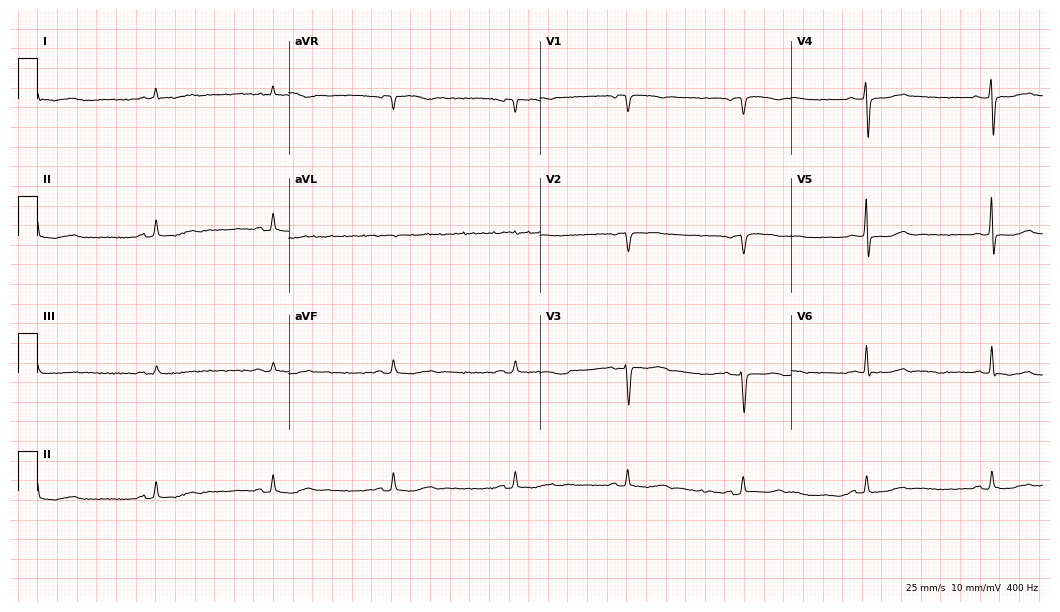
Resting 12-lead electrocardiogram (10.2-second recording at 400 Hz). Patient: a male, 84 years old. The tracing shows sinus bradycardia (a sinus rate of 50 beats per minute or less).